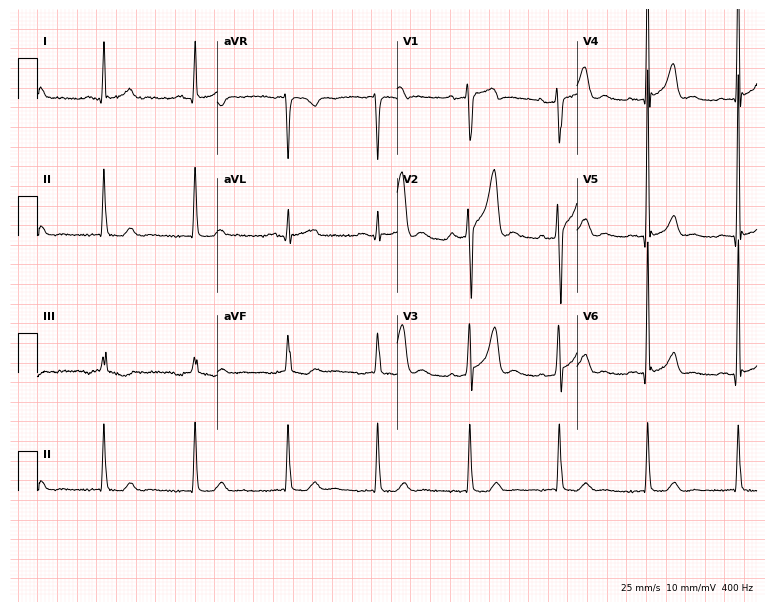
12-lead ECG (7.3-second recording at 400 Hz) from a 65-year-old male patient. Labelled as a normal ECG.